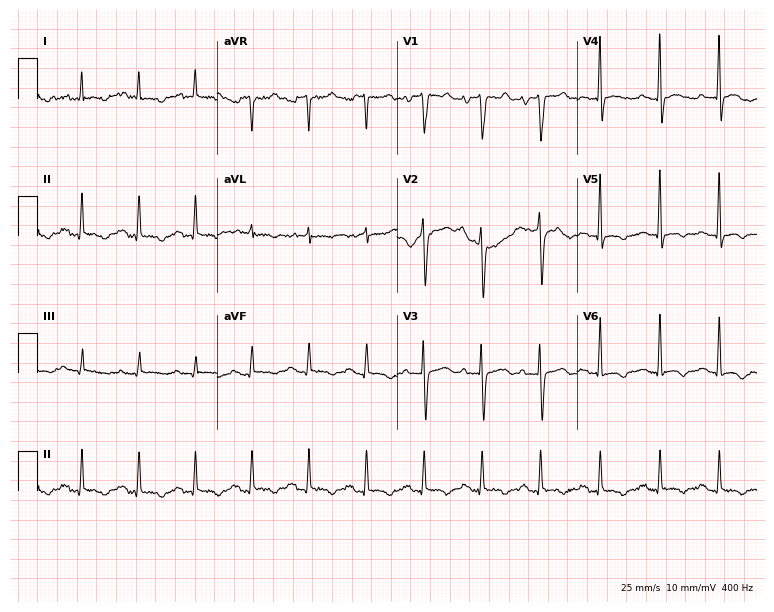
12-lead ECG from a 73-year-old male. No first-degree AV block, right bundle branch block, left bundle branch block, sinus bradycardia, atrial fibrillation or sinus tachycardia recorded for this tracing.